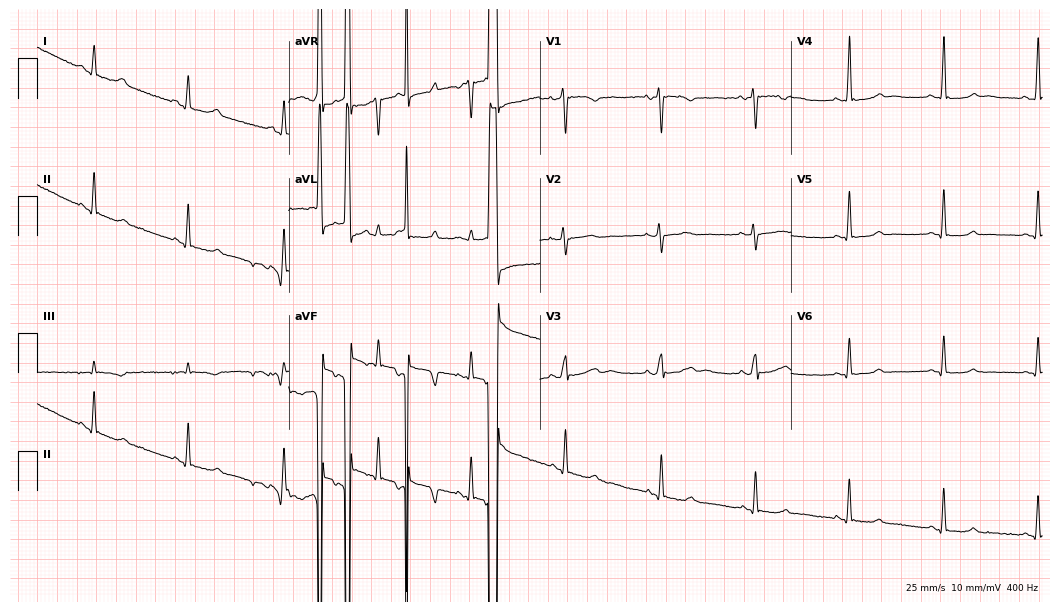
Resting 12-lead electrocardiogram. Patient: a female, 32 years old. None of these six findings is recorded: first-degree AV block, right bundle branch block, left bundle branch block, sinus bradycardia, atrial fibrillation, sinus tachycardia.